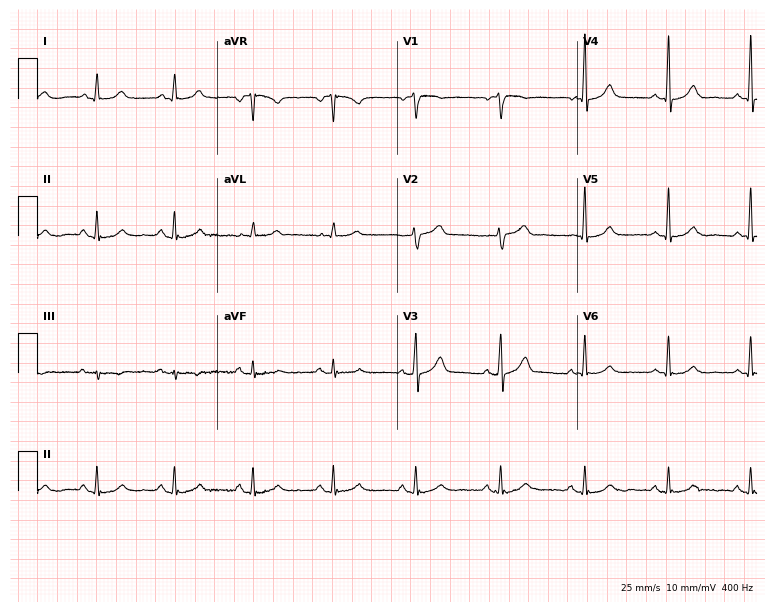
Resting 12-lead electrocardiogram (7.3-second recording at 400 Hz). Patient: a 63-year-old male. Read as a normal ECG.